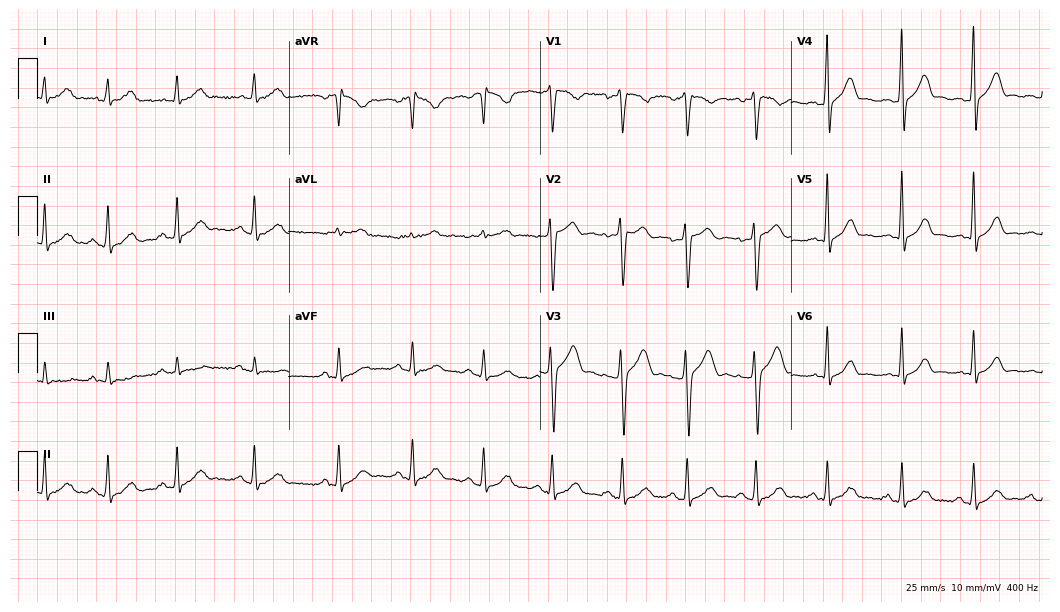
Resting 12-lead electrocardiogram (10.2-second recording at 400 Hz). Patient: a 24-year-old man. Read as a normal ECG.